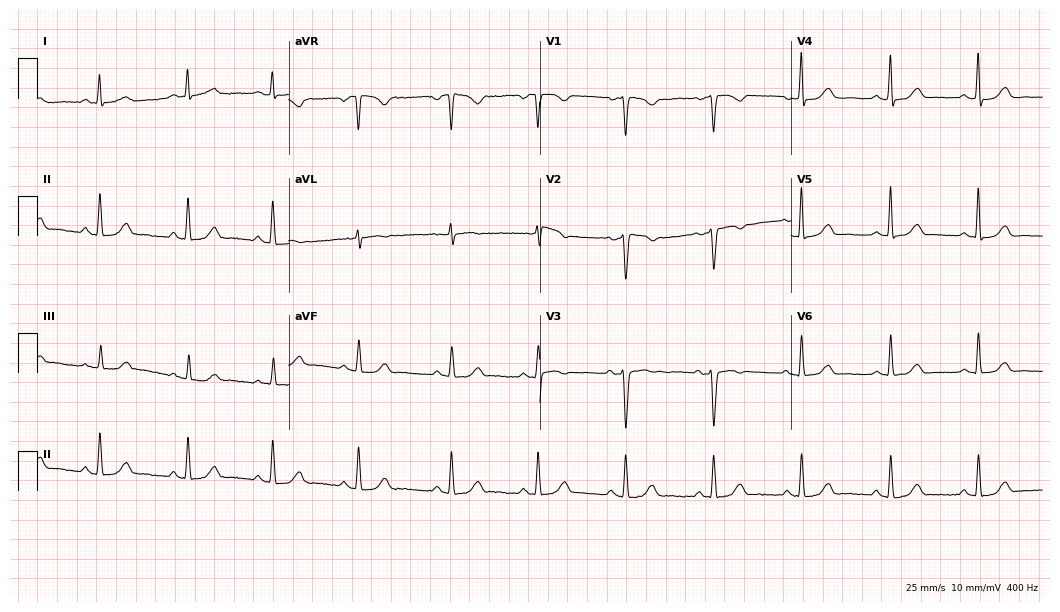
Resting 12-lead electrocardiogram. Patient: a female, 36 years old. Read as a normal ECG.